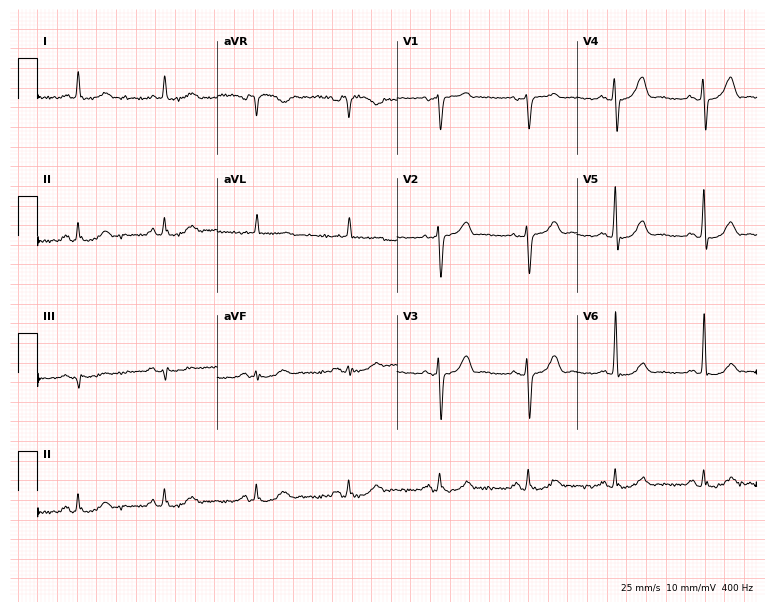
12-lead ECG from a 71-year-old male patient. No first-degree AV block, right bundle branch block (RBBB), left bundle branch block (LBBB), sinus bradycardia, atrial fibrillation (AF) or sinus tachycardia recorded for this tracing.